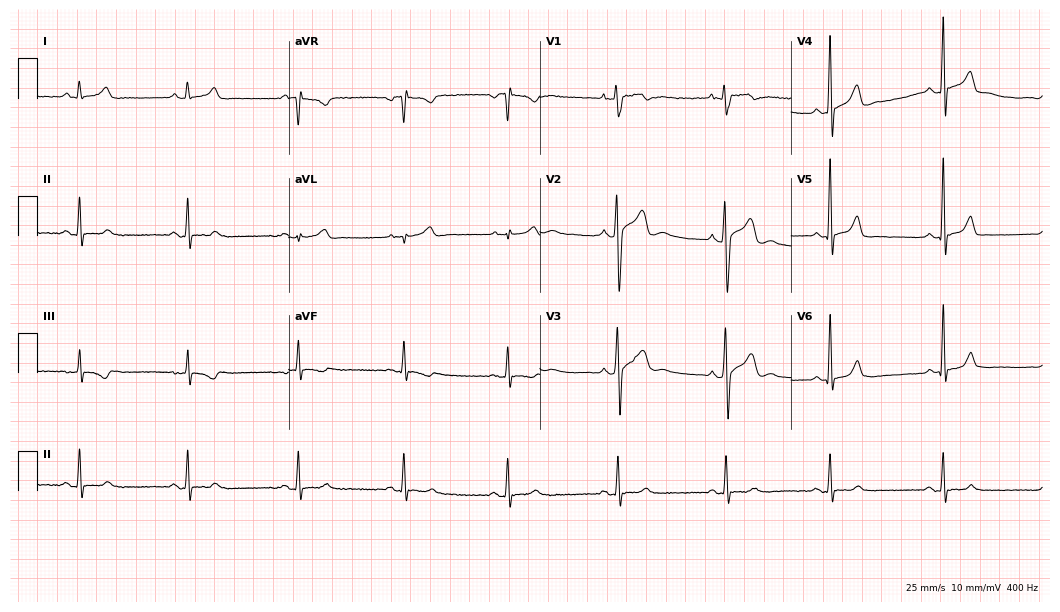
ECG (10.2-second recording at 400 Hz) — a male, 28 years old. Labelled as a normal ECG.